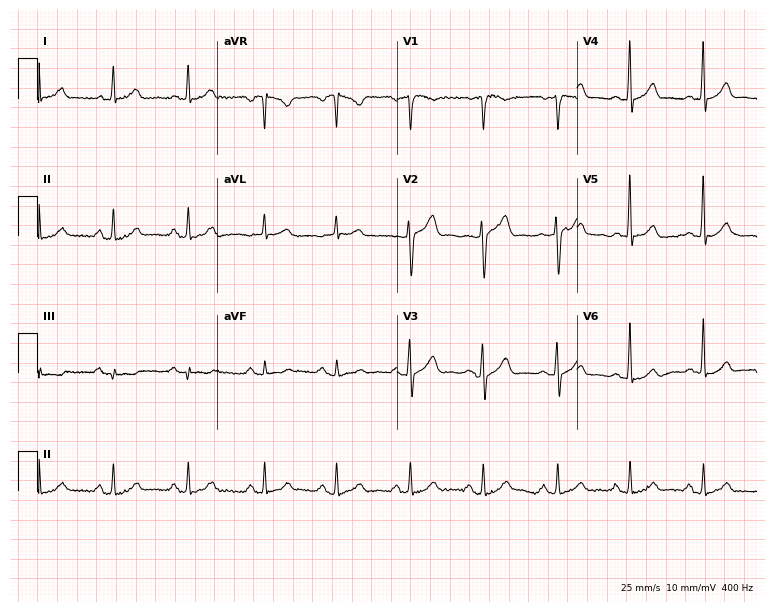
12-lead ECG from a male patient, 64 years old (7.3-second recording at 400 Hz). Recorded interpretation: within normal limits.